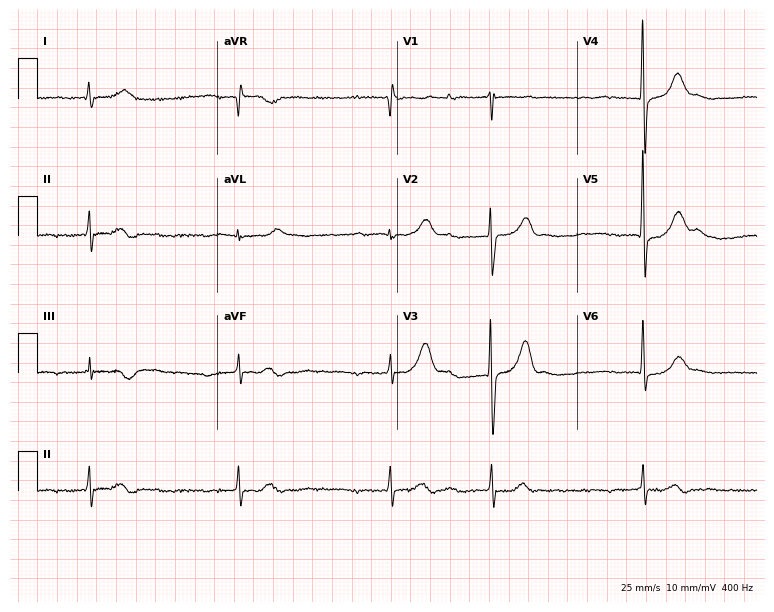
Resting 12-lead electrocardiogram. Patient: a female, 80 years old. None of these six findings is recorded: first-degree AV block, right bundle branch block, left bundle branch block, sinus bradycardia, atrial fibrillation, sinus tachycardia.